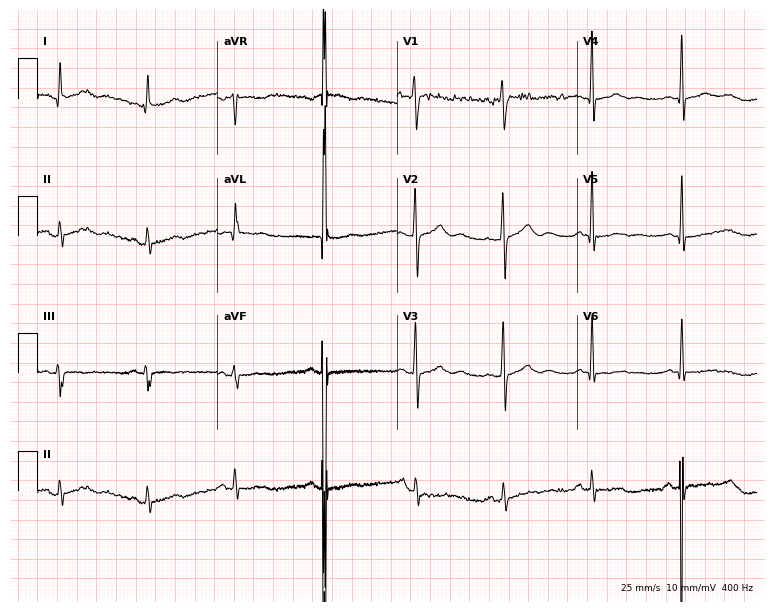
Electrocardiogram (7.3-second recording at 400 Hz), a 62-year-old male patient. Of the six screened findings (first-degree AV block, right bundle branch block, left bundle branch block, sinus bradycardia, atrial fibrillation, sinus tachycardia), none is recorded. Only these six findings were labelled.